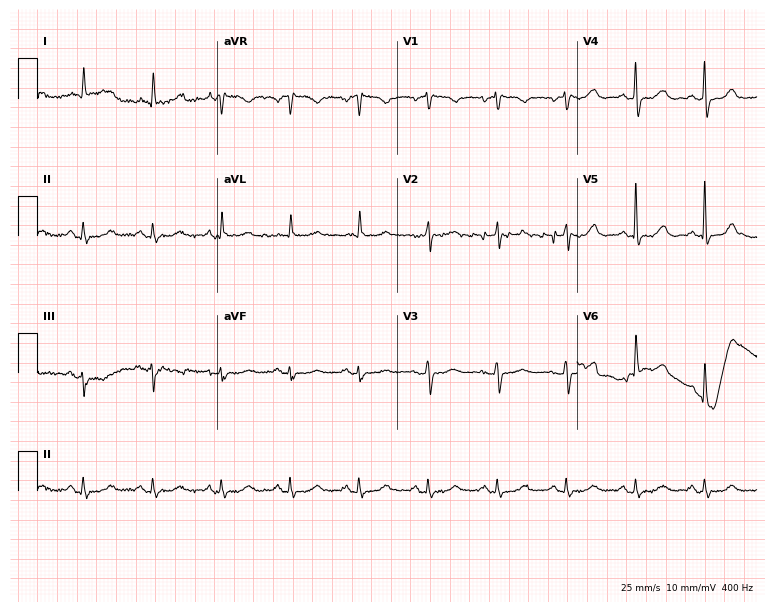
ECG — a female patient, 79 years old. Screened for six findings — first-degree AV block, right bundle branch block (RBBB), left bundle branch block (LBBB), sinus bradycardia, atrial fibrillation (AF), sinus tachycardia — none is recorded. Findings outside these six are not listed.